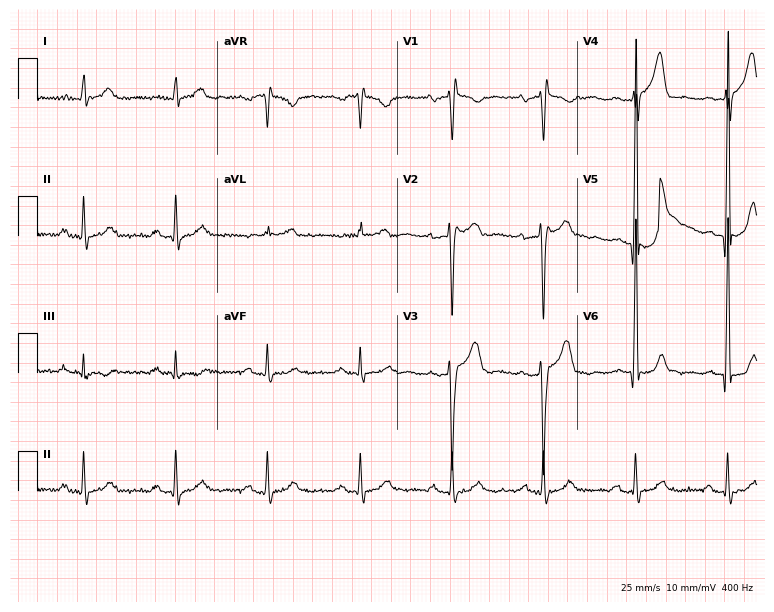
12-lead ECG from a man, 70 years old. Findings include first-degree AV block.